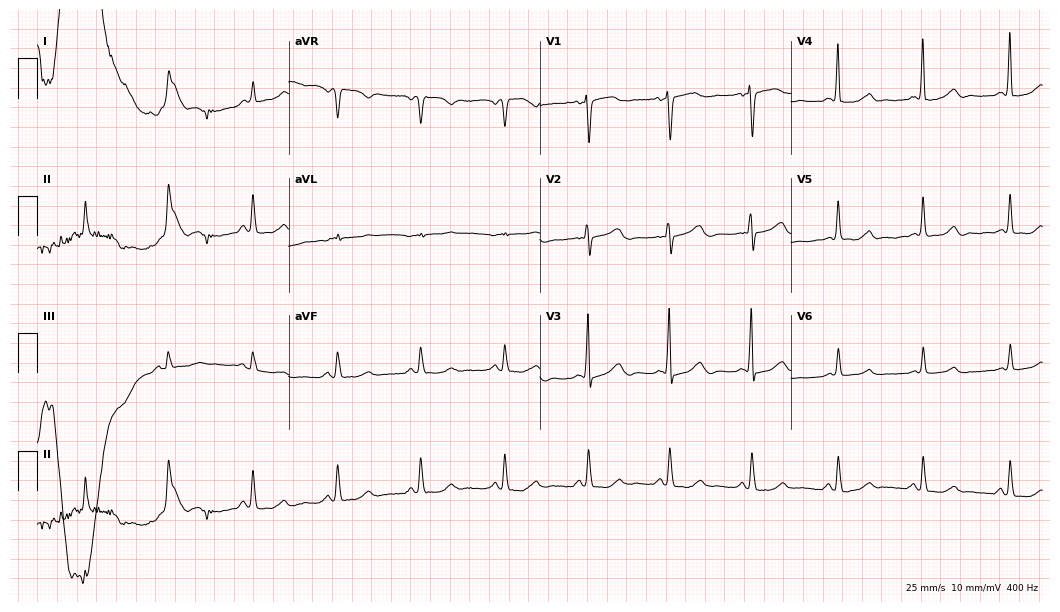
12-lead ECG from a woman, 82 years old. Screened for six findings — first-degree AV block, right bundle branch block, left bundle branch block, sinus bradycardia, atrial fibrillation, sinus tachycardia — none is recorded. Only these six findings were labelled.